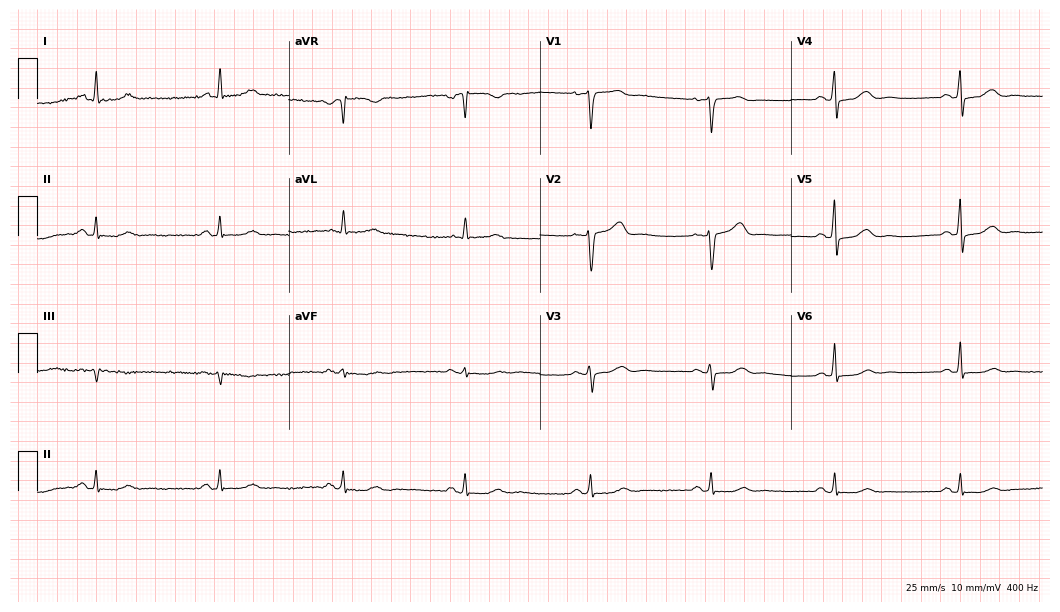
ECG (10.2-second recording at 400 Hz) — a 75-year-old female. Findings include sinus bradycardia (a sinus rate of 50 beats per minute or less).